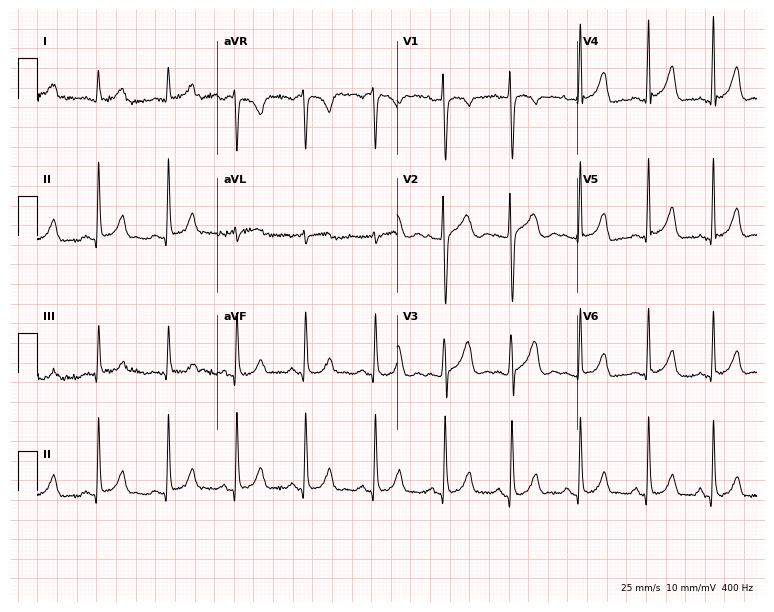
Standard 12-lead ECG recorded from a 25-year-old woman. None of these six findings is recorded: first-degree AV block, right bundle branch block (RBBB), left bundle branch block (LBBB), sinus bradycardia, atrial fibrillation (AF), sinus tachycardia. Findings outside these six are not listed.